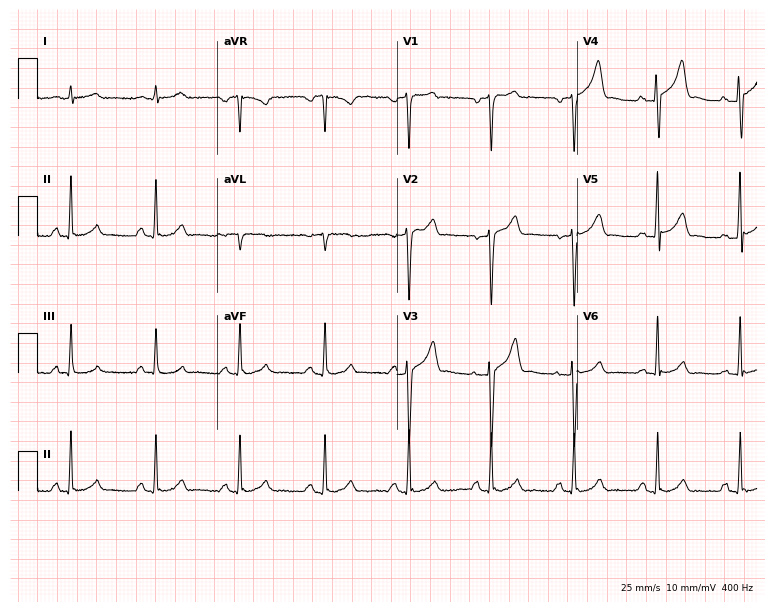
ECG — a male patient, 52 years old. Labelled as a normal ECG.